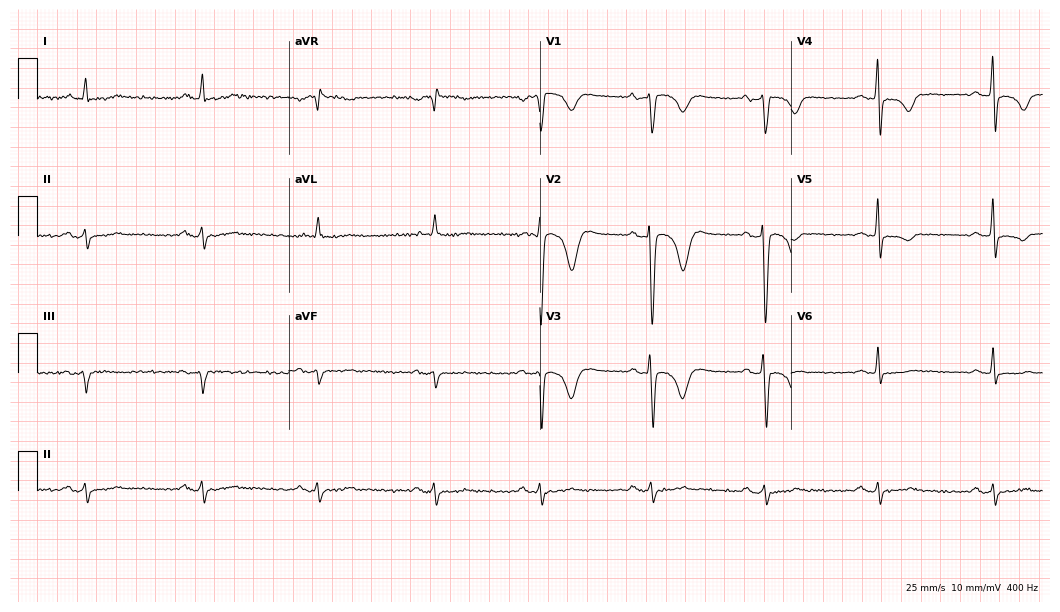
Resting 12-lead electrocardiogram (10.2-second recording at 400 Hz). Patient: a 52-year-old man. None of these six findings is recorded: first-degree AV block, right bundle branch block, left bundle branch block, sinus bradycardia, atrial fibrillation, sinus tachycardia.